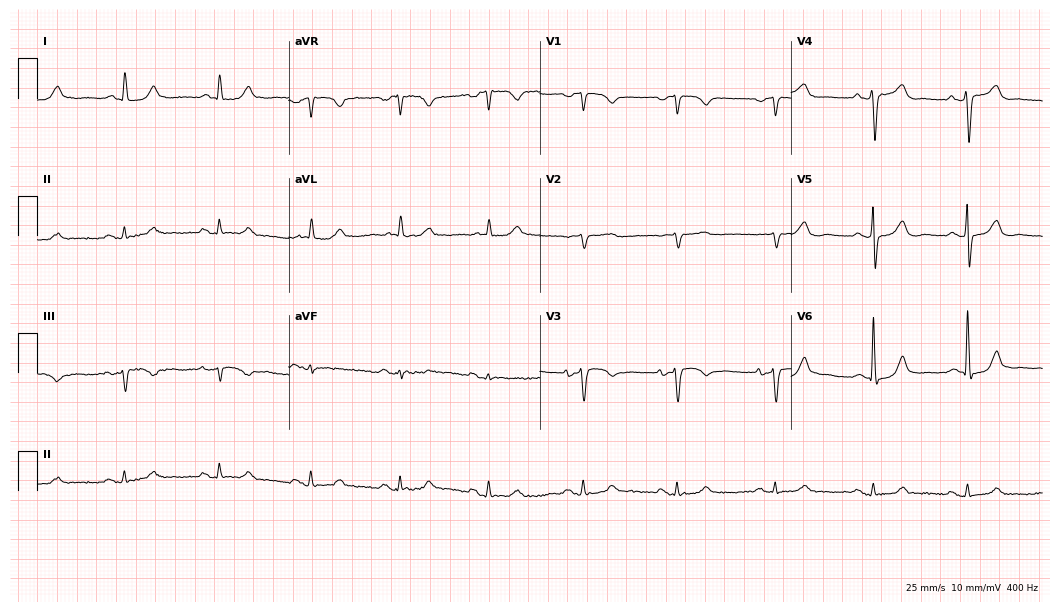
Electrocardiogram (10.2-second recording at 400 Hz), a female patient, 78 years old. Of the six screened findings (first-degree AV block, right bundle branch block, left bundle branch block, sinus bradycardia, atrial fibrillation, sinus tachycardia), none is recorded. Other findings, if any, are not listed.